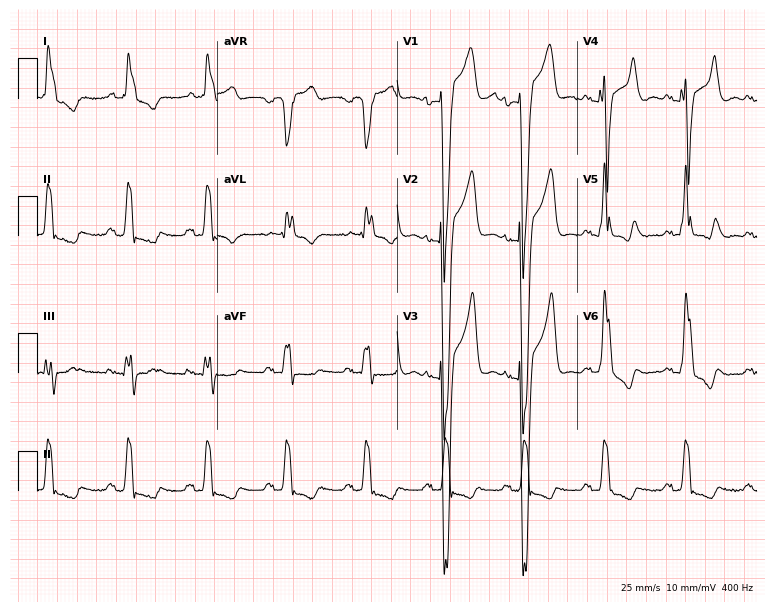
ECG (7.3-second recording at 400 Hz) — a man, 77 years old. Findings include left bundle branch block (LBBB).